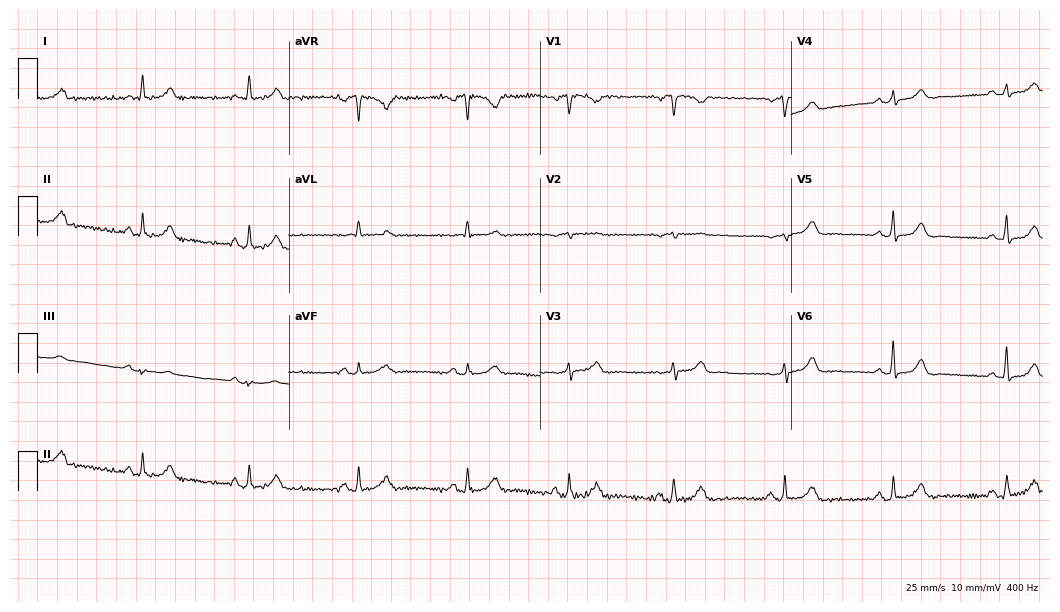
Resting 12-lead electrocardiogram. Patient: a 60-year-old female. None of these six findings is recorded: first-degree AV block, right bundle branch block, left bundle branch block, sinus bradycardia, atrial fibrillation, sinus tachycardia.